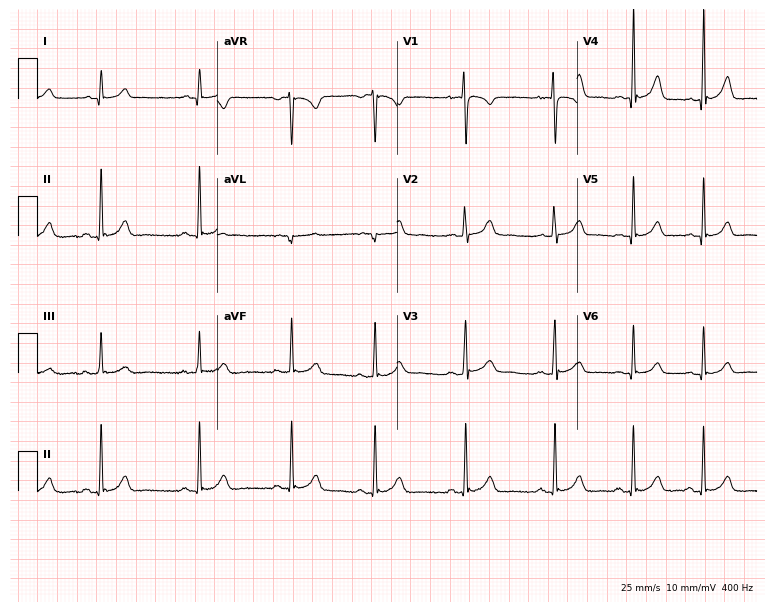
Standard 12-lead ECG recorded from a female patient, 20 years old. Read as a normal ECG.